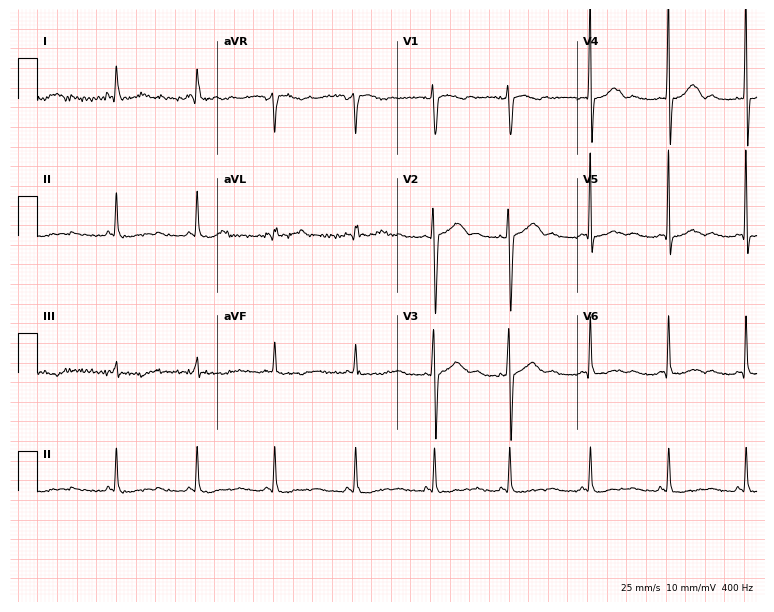
12-lead ECG from a woman, 39 years old. No first-degree AV block, right bundle branch block (RBBB), left bundle branch block (LBBB), sinus bradycardia, atrial fibrillation (AF) or sinus tachycardia recorded for this tracing. Findings outside these six are not listed.